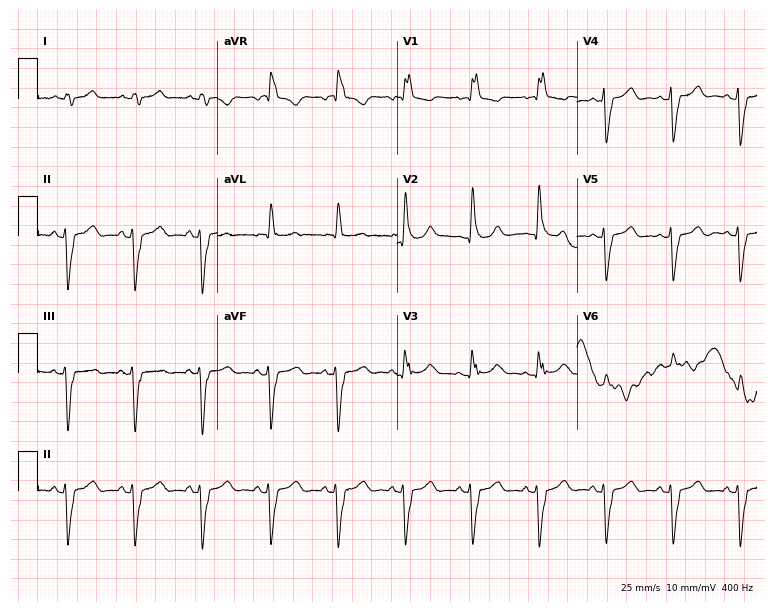
ECG (7.3-second recording at 400 Hz) — an 86-year-old female. Screened for six findings — first-degree AV block, right bundle branch block (RBBB), left bundle branch block (LBBB), sinus bradycardia, atrial fibrillation (AF), sinus tachycardia — none is recorded.